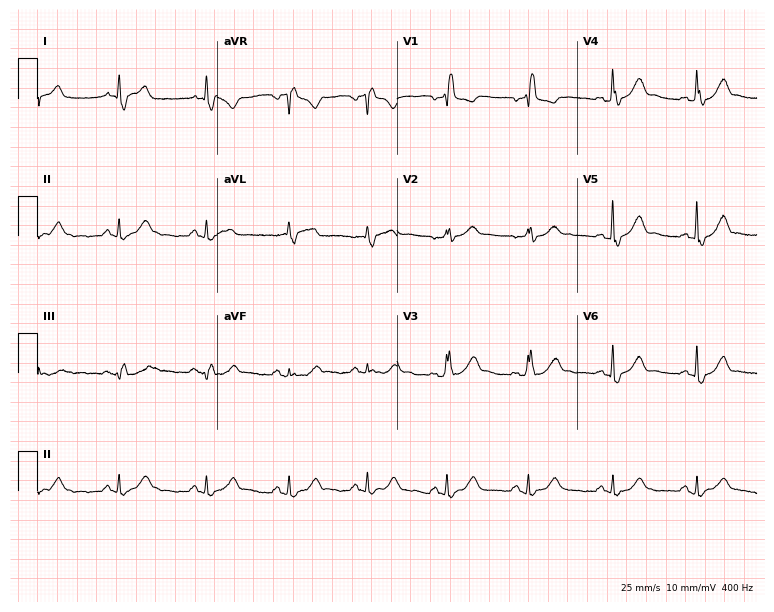
12-lead ECG from a 68-year-old male patient. Shows right bundle branch block (RBBB).